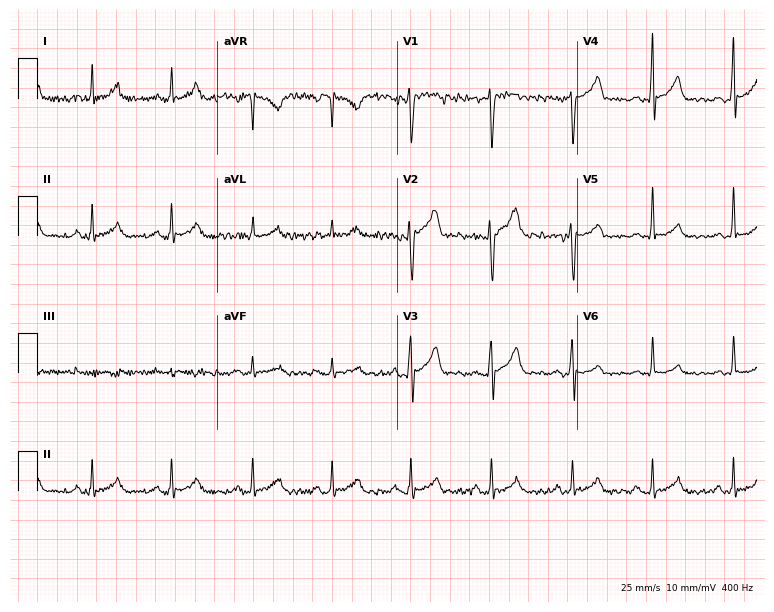
Standard 12-lead ECG recorded from a 32-year-old male. Read as a normal ECG.